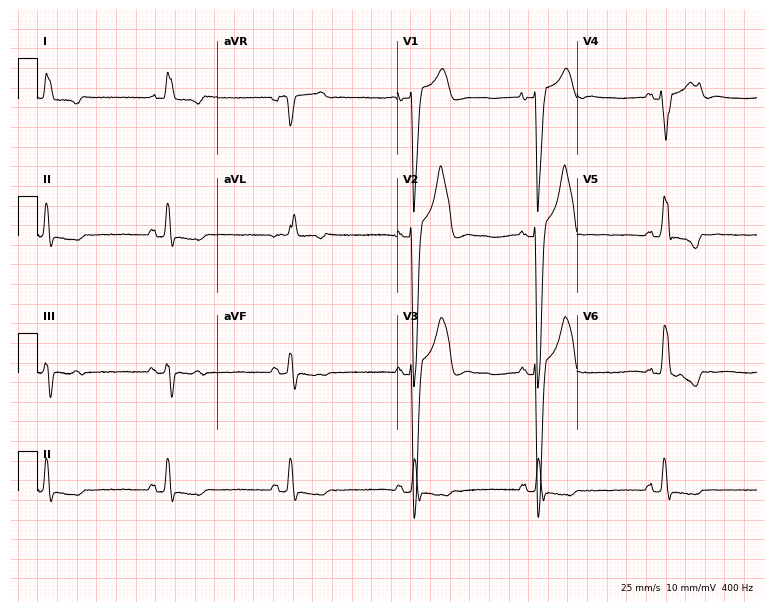
Standard 12-lead ECG recorded from a man, 72 years old (7.3-second recording at 400 Hz). The tracing shows sinus bradycardia (a sinus rate of 50 beats per minute or less).